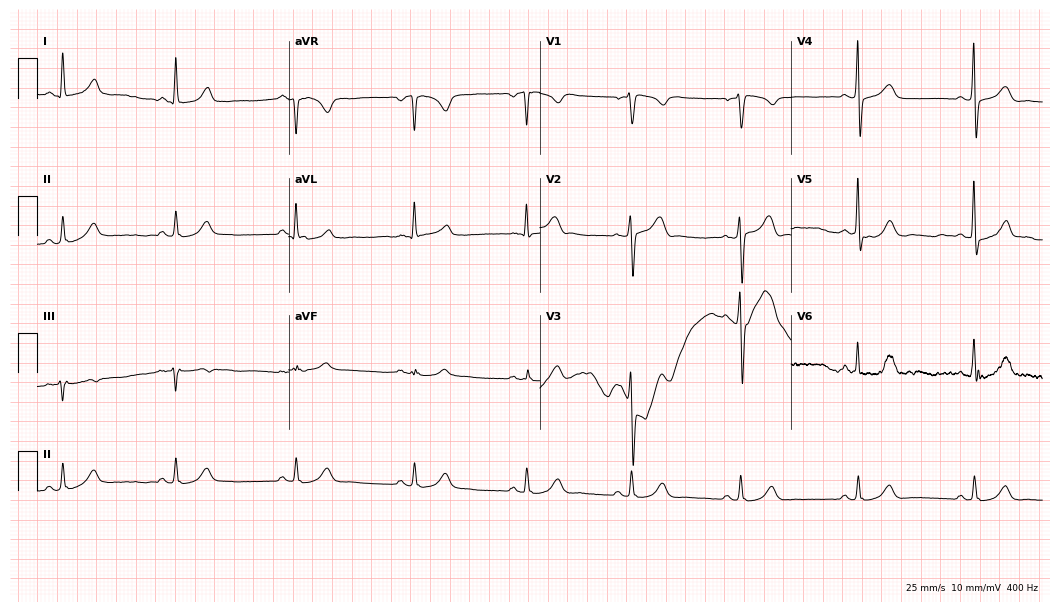
Standard 12-lead ECG recorded from a male, 39 years old. Read as a normal ECG.